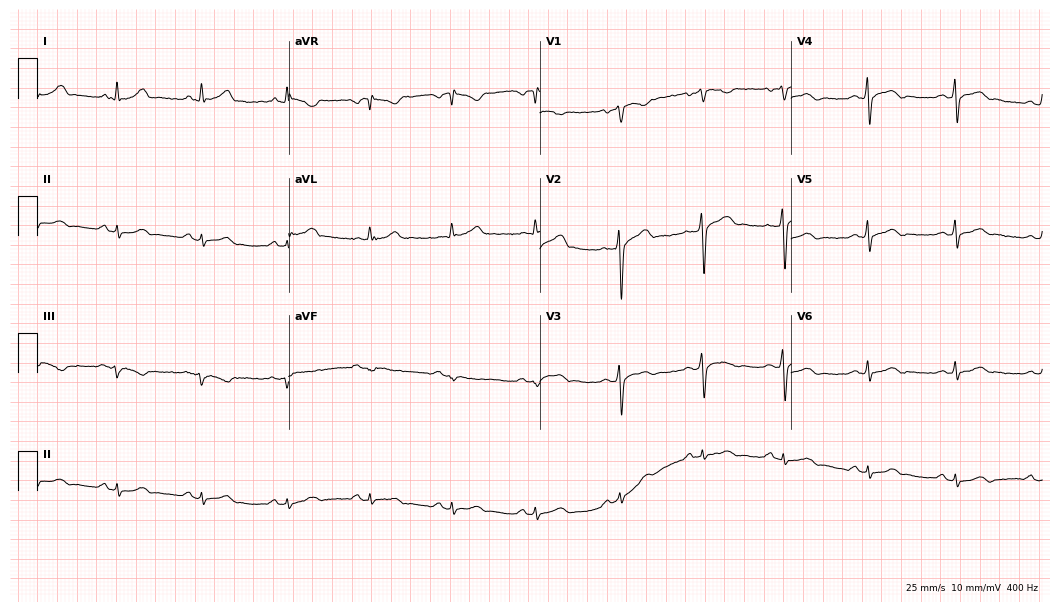
Electrocardiogram (10.2-second recording at 400 Hz), a male, 54 years old. Of the six screened findings (first-degree AV block, right bundle branch block, left bundle branch block, sinus bradycardia, atrial fibrillation, sinus tachycardia), none is recorded. Only these six findings were labelled.